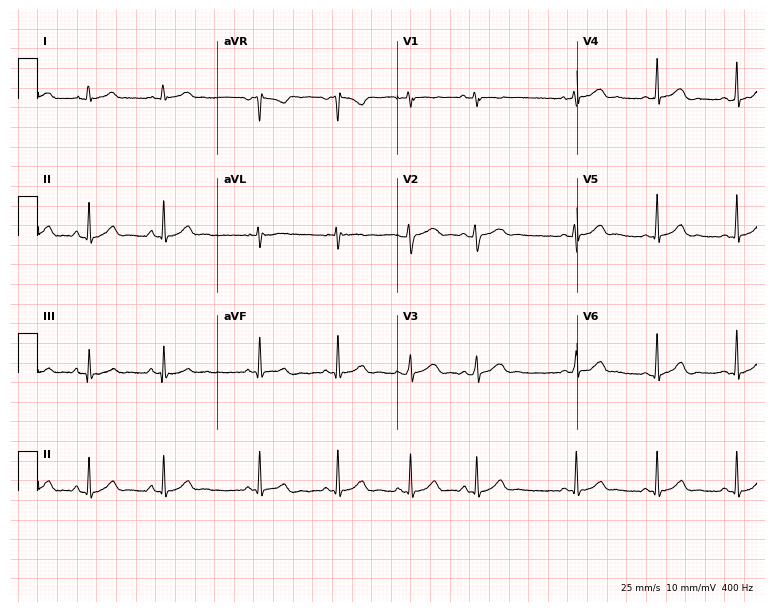
Electrocardiogram, a 28-year-old female patient. Overall reading on record: normal ECG.